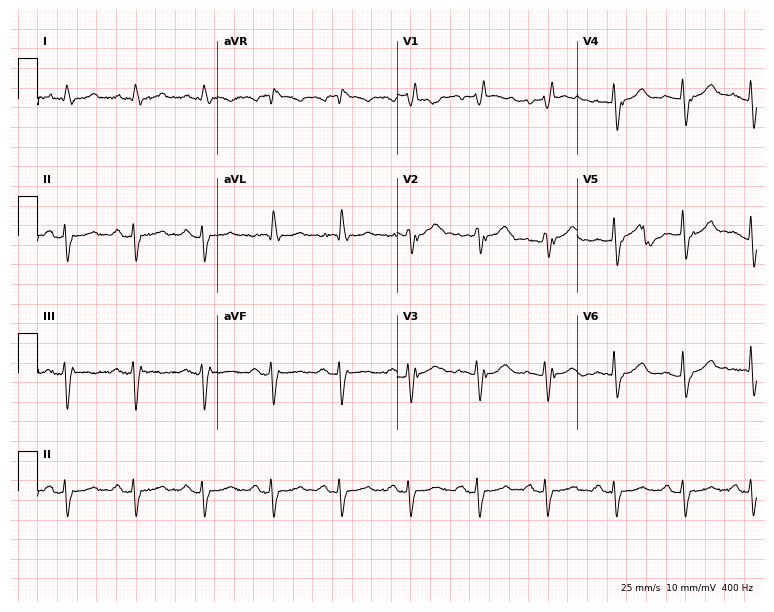
12-lead ECG (7.3-second recording at 400 Hz) from an 84-year-old man. Findings include right bundle branch block.